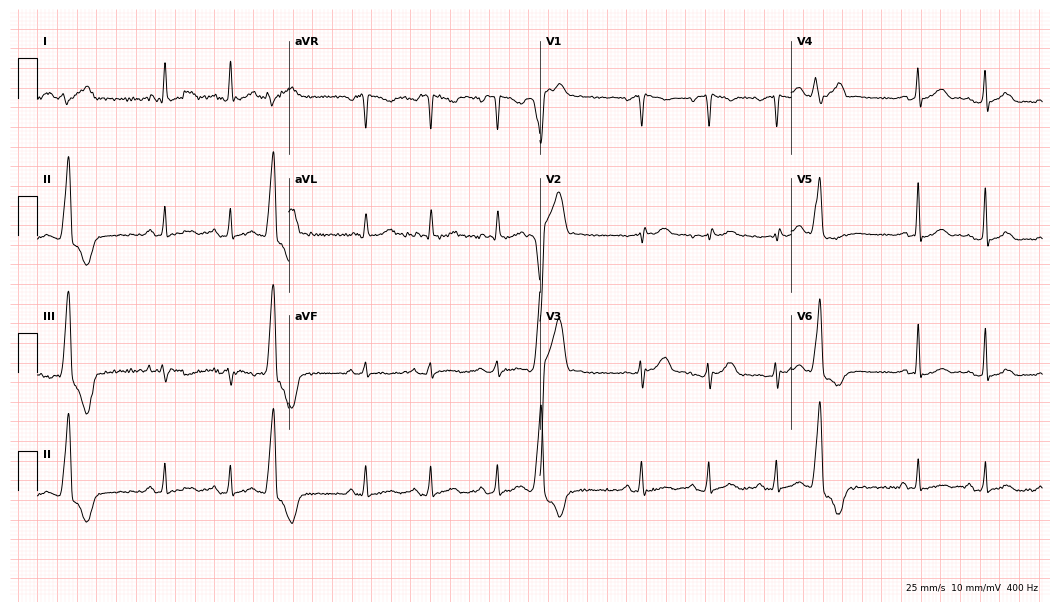
12-lead ECG from a 41-year-old female patient. Screened for six findings — first-degree AV block, right bundle branch block, left bundle branch block, sinus bradycardia, atrial fibrillation, sinus tachycardia — none is recorded. Other findings, if any, are not listed.